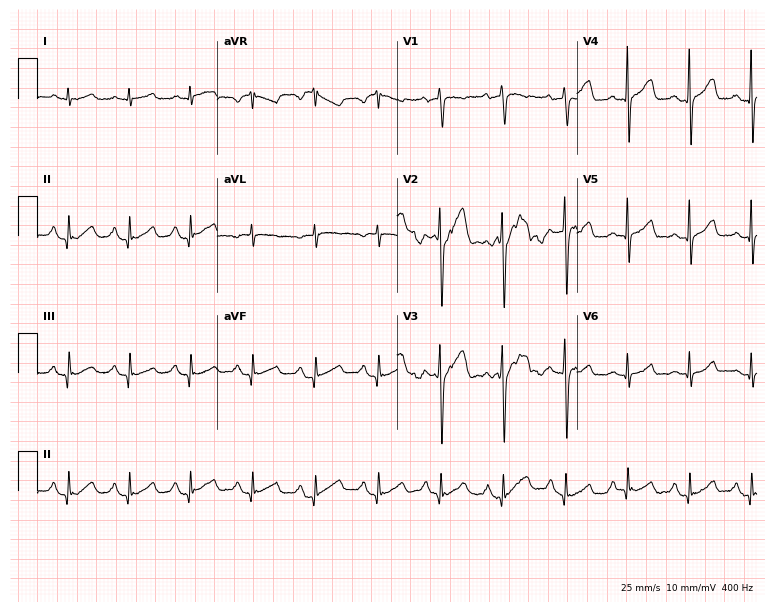
Electrocardiogram (7.3-second recording at 400 Hz), a 54-year-old male. Overall reading on record: normal ECG.